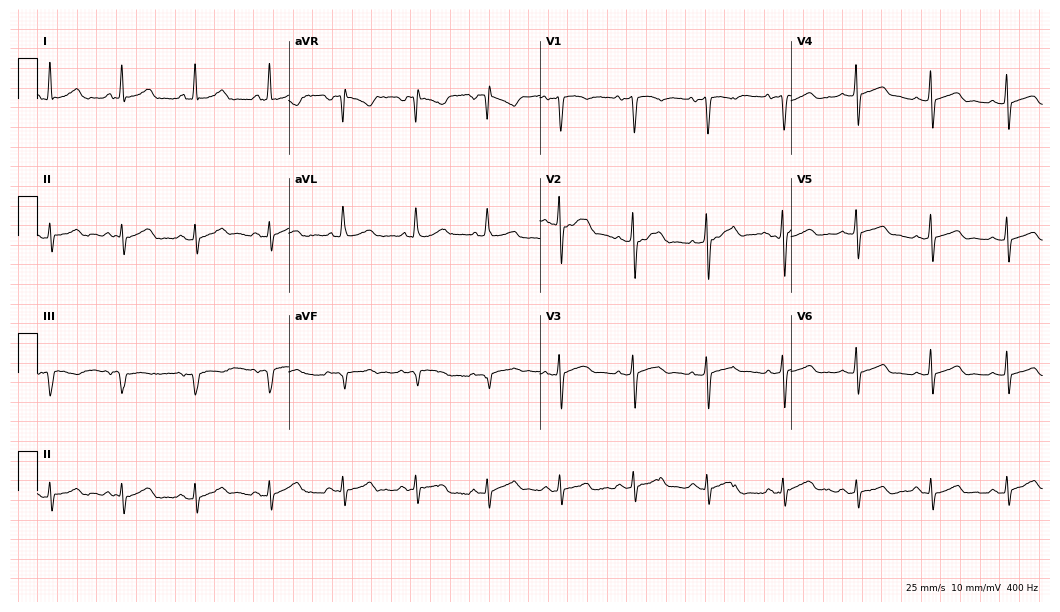
12-lead ECG (10.2-second recording at 400 Hz) from a female patient, 63 years old. Screened for six findings — first-degree AV block, right bundle branch block (RBBB), left bundle branch block (LBBB), sinus bradycardia, atrial fibrillation (AF), sinus tachycardia — none is recorded.